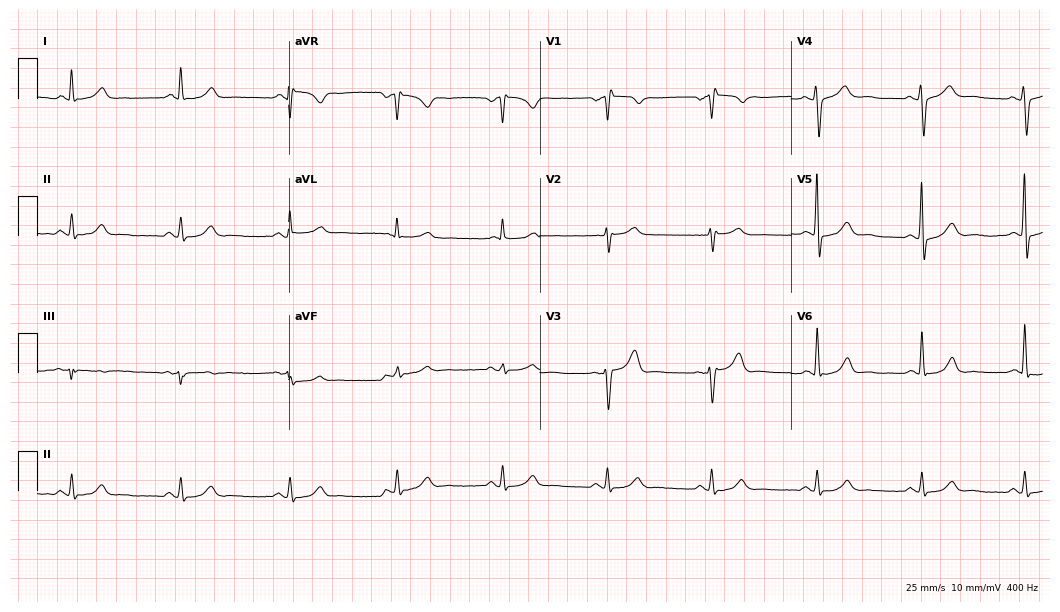
ECG — a man, 56 years old. Labelled as a normal ECG.